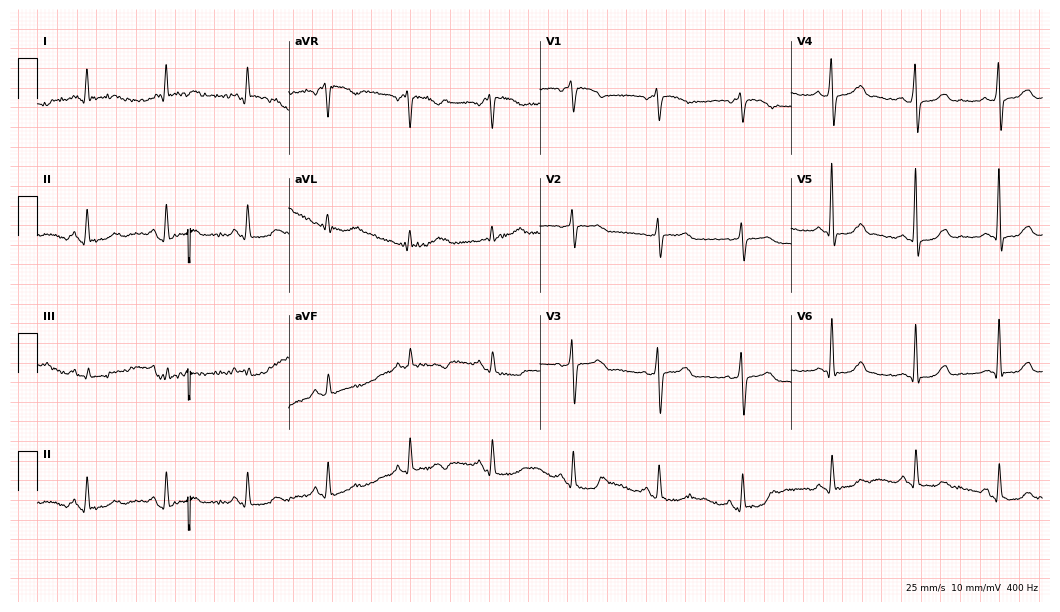
Electrocardiogram, a 57-year-old woman. Overall reading on record: normal ECG.